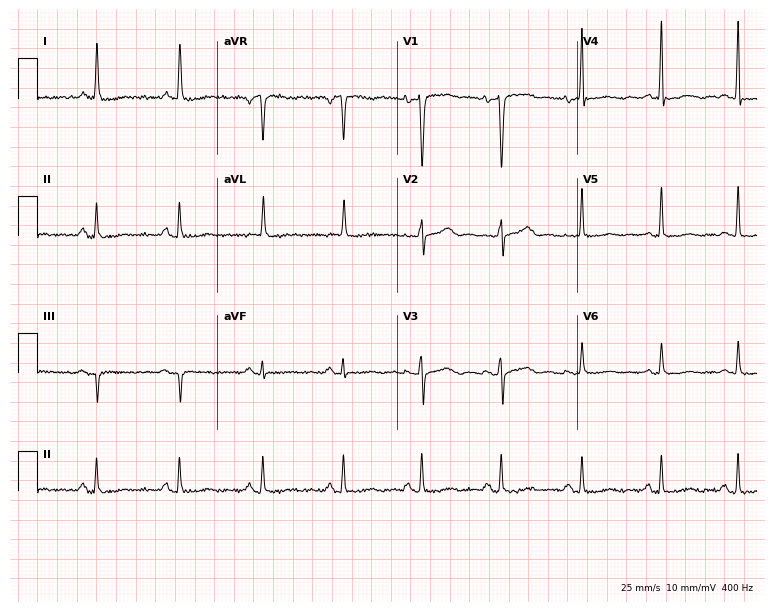
12-lead ECG from a 63-year-old woman. Screened for six findings — first-degree AV block, right bundle branch block, left bundle branch block, sinus bradycardia, atrial fibrillation, sinus tachycardia — none is recorded.